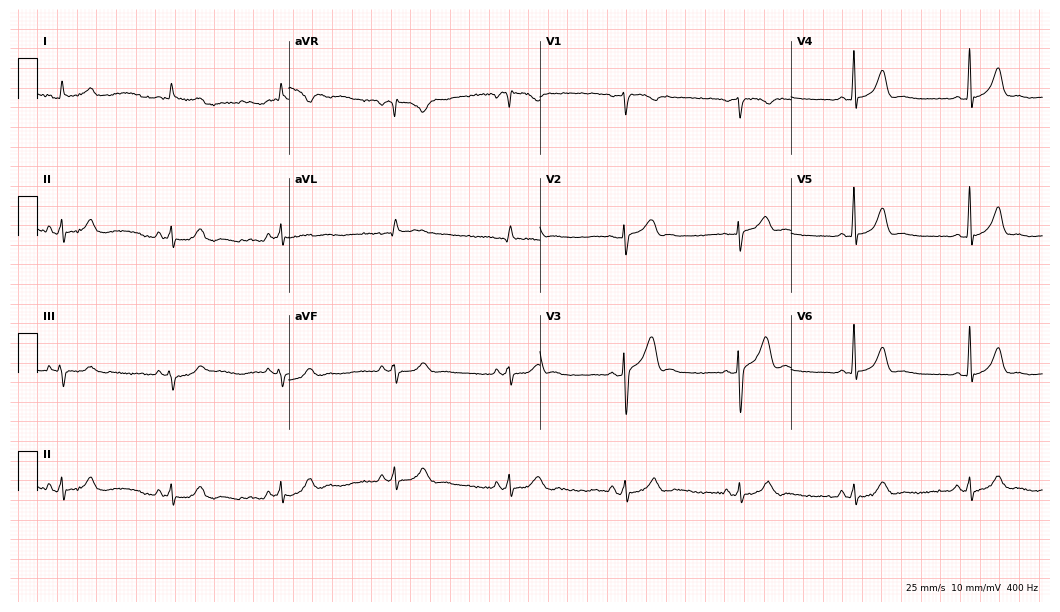
12-lead ECG (10.2-second recording at 400 Hz) from a 53-year-old male. Labelled as a normal ECG.